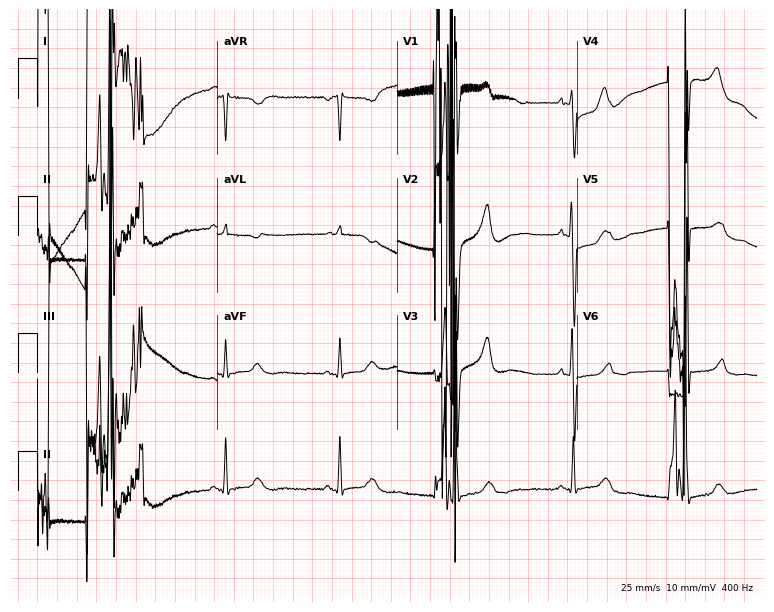
Resting 12-lead electrocardiogram (7.3-second recording at 400 Hz). Patient: a woman, 48 years old. None of these six findings is recorded: first-degree AV block, right bundle branch block, left bundle branch block, sinus bradycardia, atrial fibrillation, sinus tachycardia.